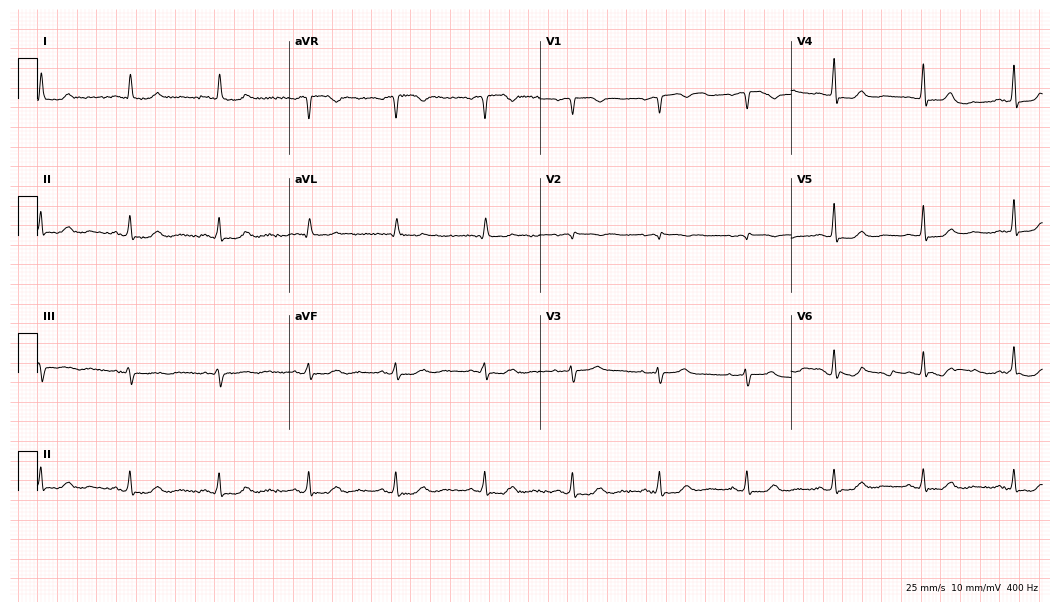
Resting 12-lead electrocardiogram. Patient: a 74-year-old woman. Read as a normal ECG.